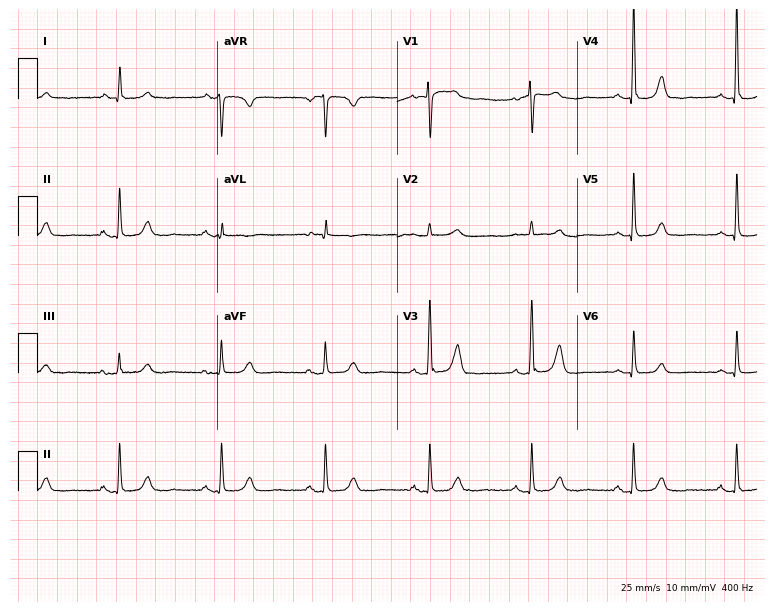
12-lead ECG (7.3-second recording at 400 Hz) from a female, 65 years old. Labelled as a normal ECG.